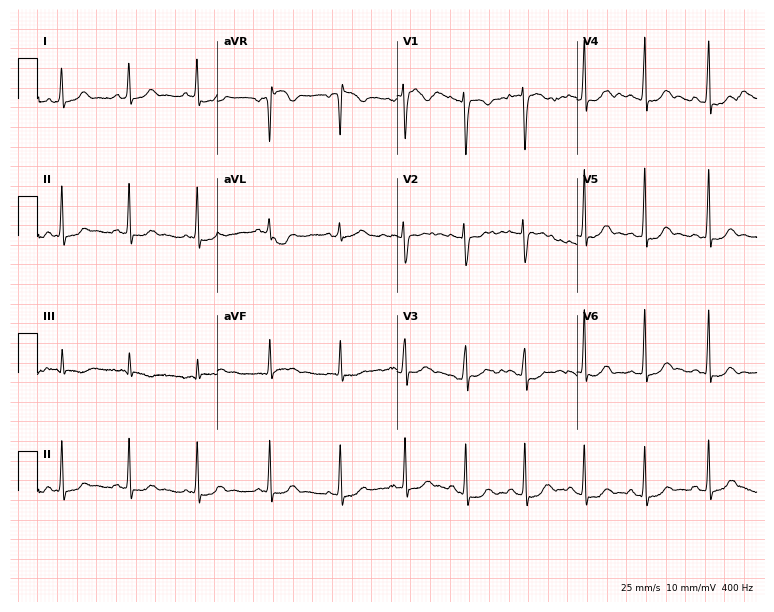
ECG — an 18-year-old woman. Labelled as a normal ECG.